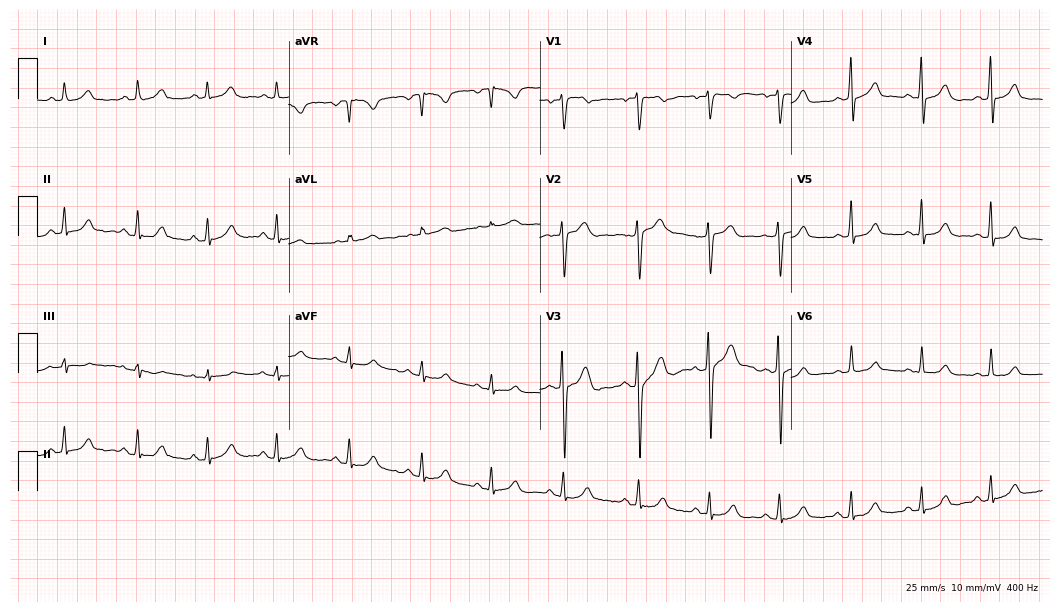
Resting 12-lead electrocardiogram. Patient: a woman, 45 years old. Read as a normal ECG.